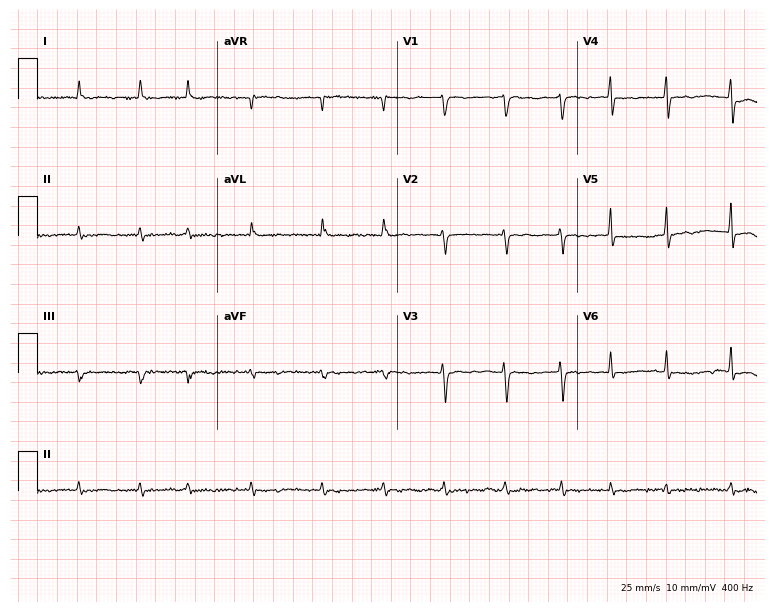
ECG — an 83-year-old female. Findings include atrial fibrillation (AF).